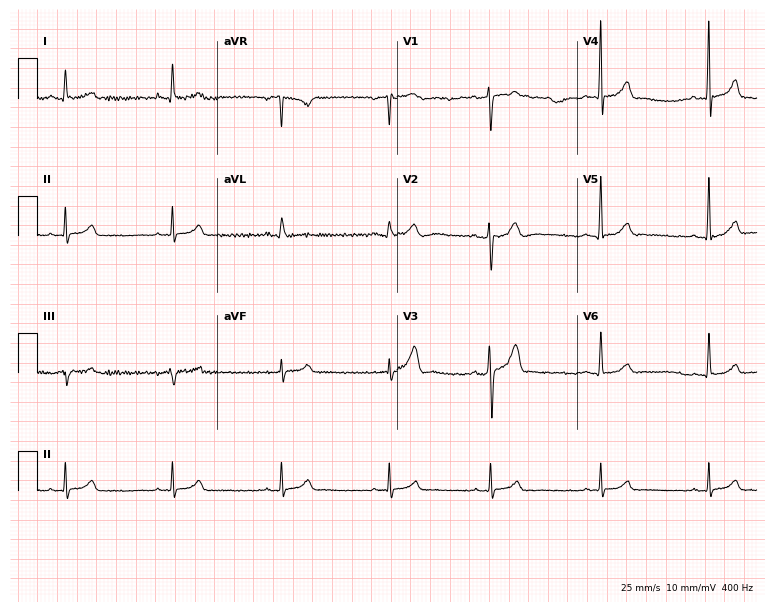
Resting 12-lead electrocardiogram. Patient: a 32-year-old male. Read as a normal ECG.